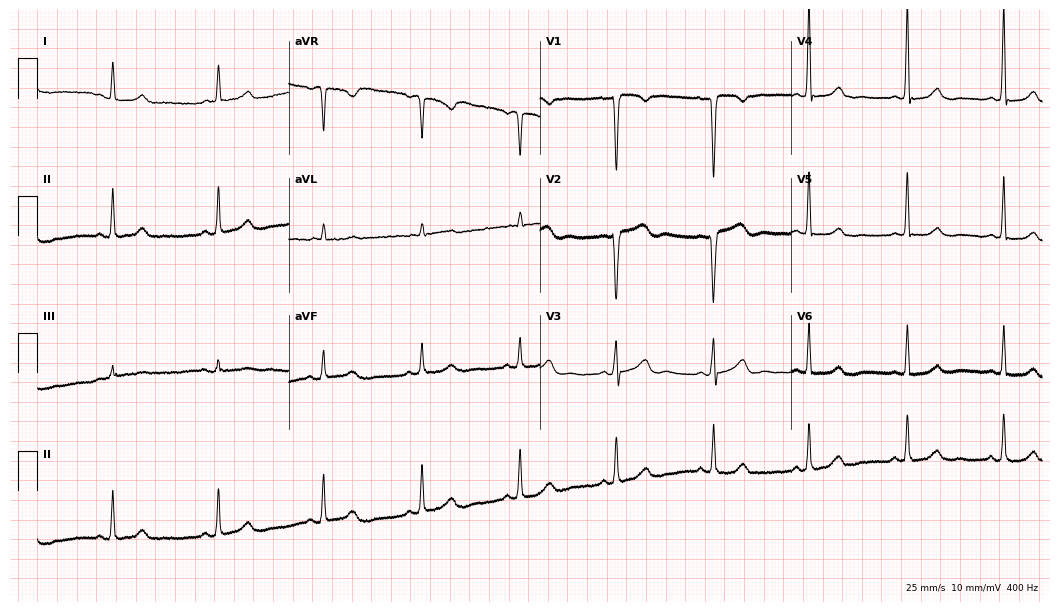
12-lead ECG from a 49-year-old woman. Labelled as a normal ECG.